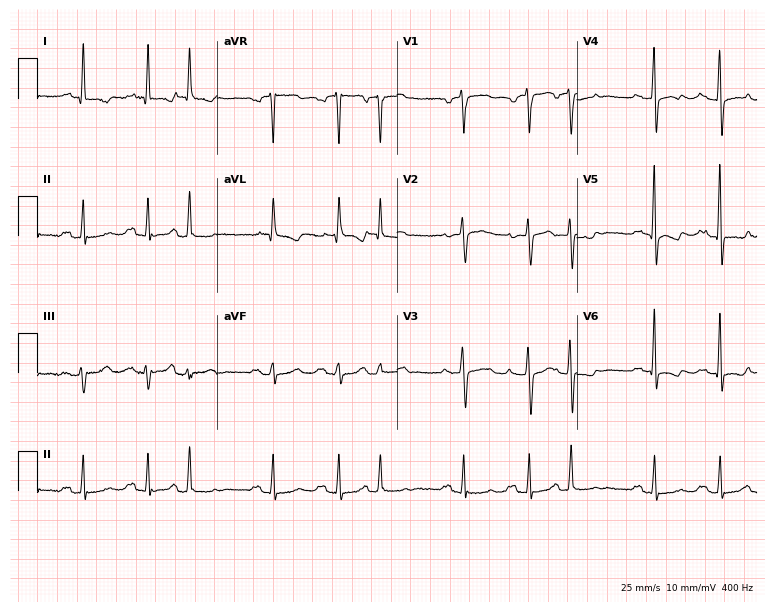
12-lead ECG from an 81-year-old female patient. Labelled as a normal ECG.